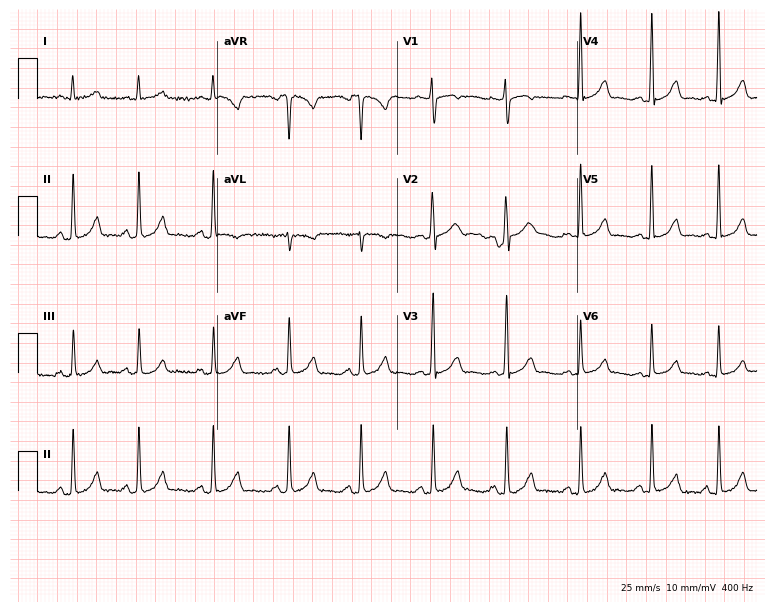
12-lead ECG (7.3-second recording at 400 Hz) from a female patient, 56 years old. Screened for six findings — first-degree AV block, right bundle branch block, left bundle branch block, sinus bradycardia, atrial fibrillation, sinus tachycardia — none is recorded.